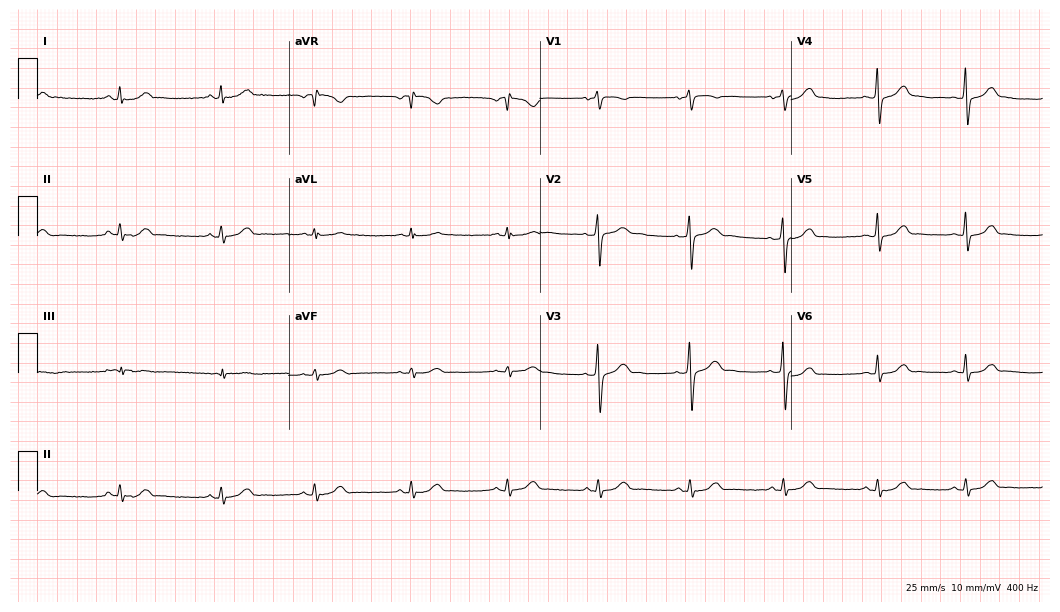
12-lead ECG from a 35-year-old female. No first-degree AV block, right bundle branch block, left bundle branch block, sinus bradycardia, atrial fibrillation or sinus tachycardia recorded for this tracing.